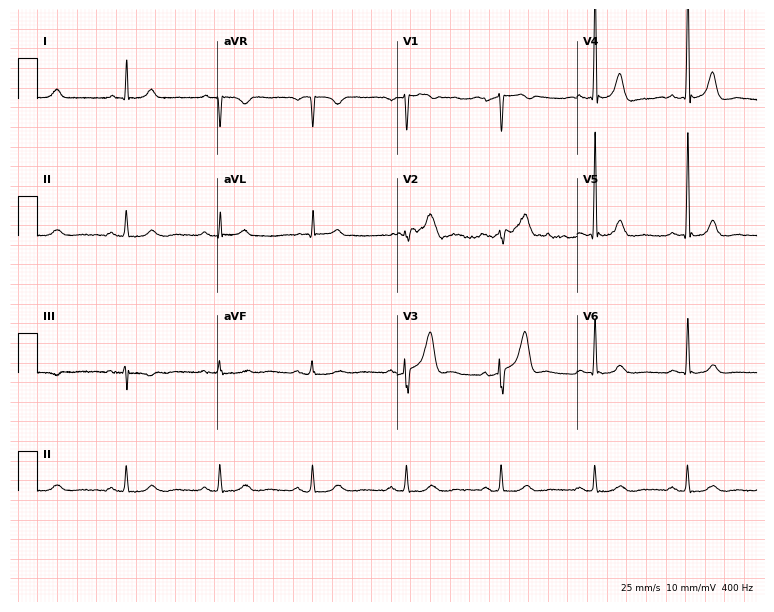
12-lead ECG from a male, 61 years old (7.3-second recording at 400 Hz). No first-degree AV block, right bundle branch block (RBBB), left bundle branch block (LBBB), sinus bradycardia, atrial fibrillation (AF) or sinus tachycardia recorded for this tracing. Only these six findings were labelled.